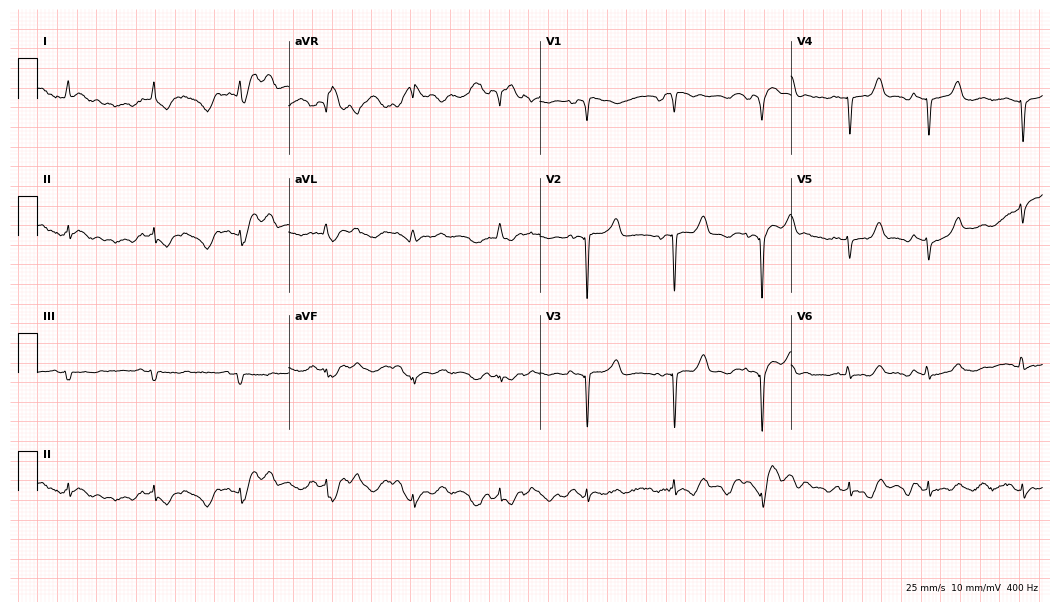
12-lead ECG (10.2-second recording at 400 Hz) from a female patient, 80 years old. Screened for six findings — first-degree AV block, right bundle branch block, left bundle branch block, sinus bradycardia, atrial fibrillation, sinus tachycardia — none is recorded.